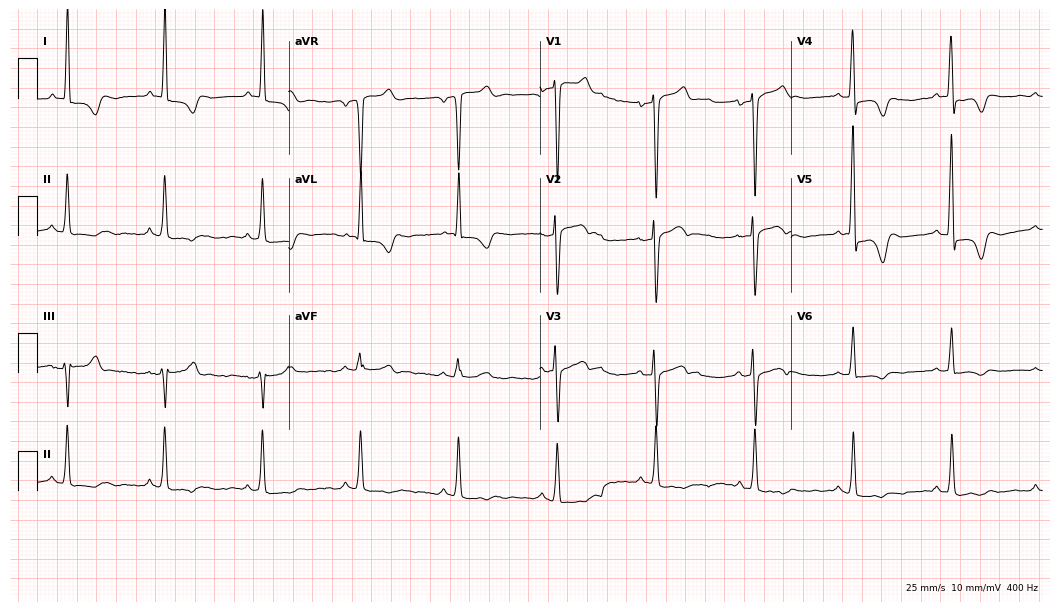
Resting 12-lead electrocardiogram (10.2-second recording at 400 Hz). Patient: an 85-year-old male. None of these six findings is recorded: first-degree AV block, right bundle branch block, left bundle branch block, sinus bradycardia, atrial fibrillation, sinus tachycardia. Findings outside these six are not listed.